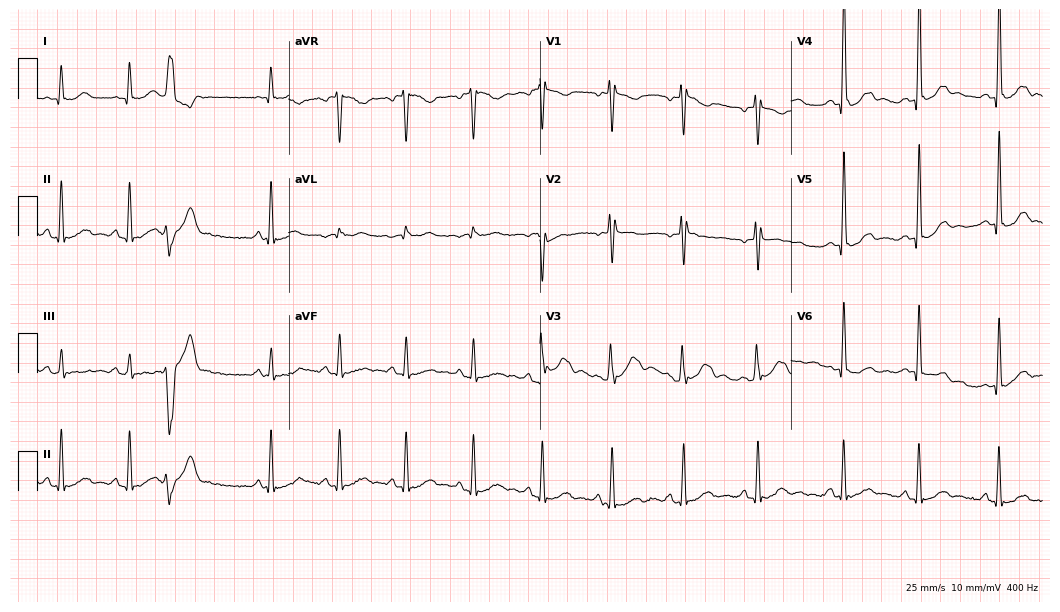
ECG (10.2-second recording at 400 Hz) — a 55-year-old male. Screened for six findings — first-degree AV block, right bundle branch block, left bundle branch block, sinus bradycardia, atrial fibrillation, sinus tachycardia — none is recorded. Findings outside these six are not listed.